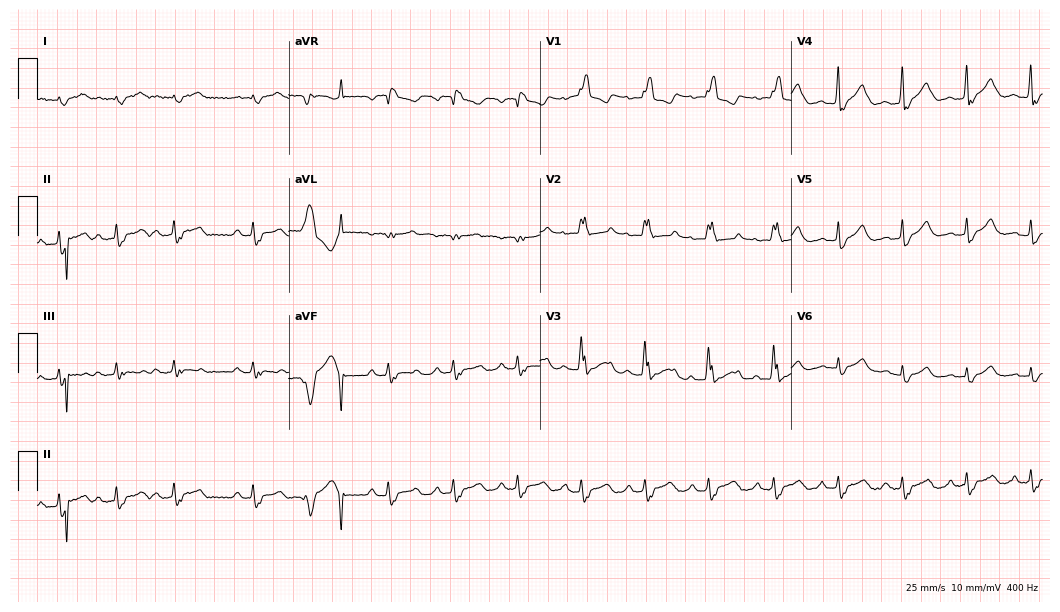
12-lead ECG from a male, 60 years old. Findings include right bundle branch block (RBBB).